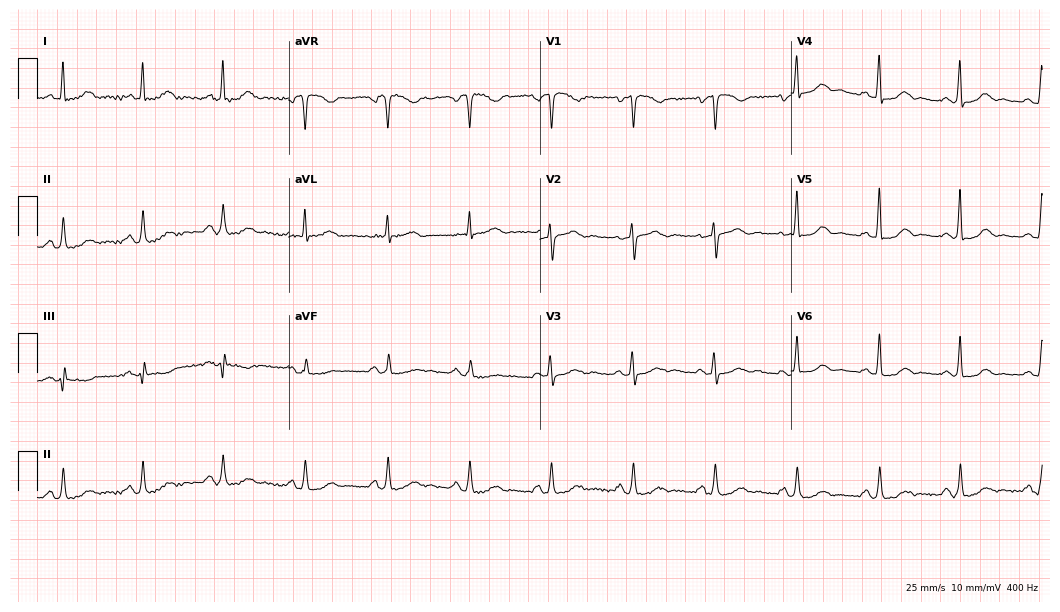
Electrocardiogram, a 73-year-old female patient. Overall reading on record: normal ECG.